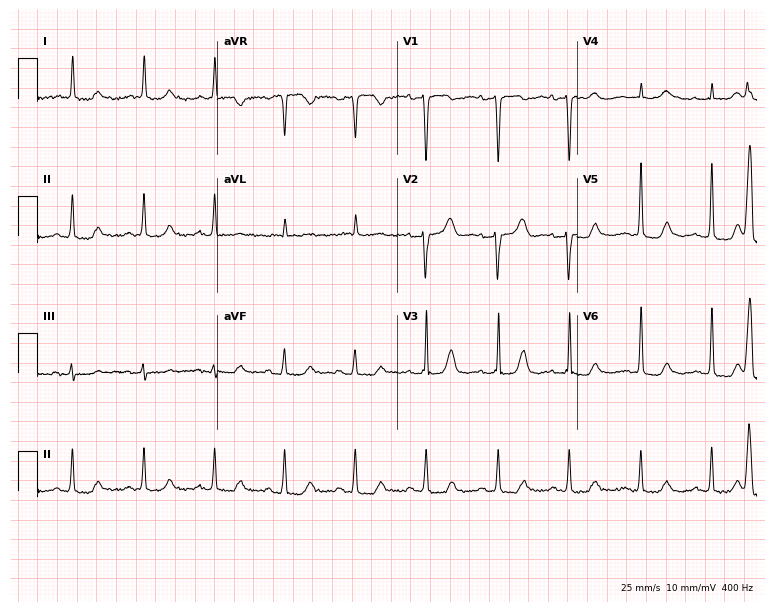
Electrocardiogram, a female, 83 years old. Of the six screened findings (first-degree AV block, right bundle branch block (RBBB), left bundle branch block (LBBB), sinus bradycardia, atrial fibrillation (AF), sinus tachycardia), none is recorded.